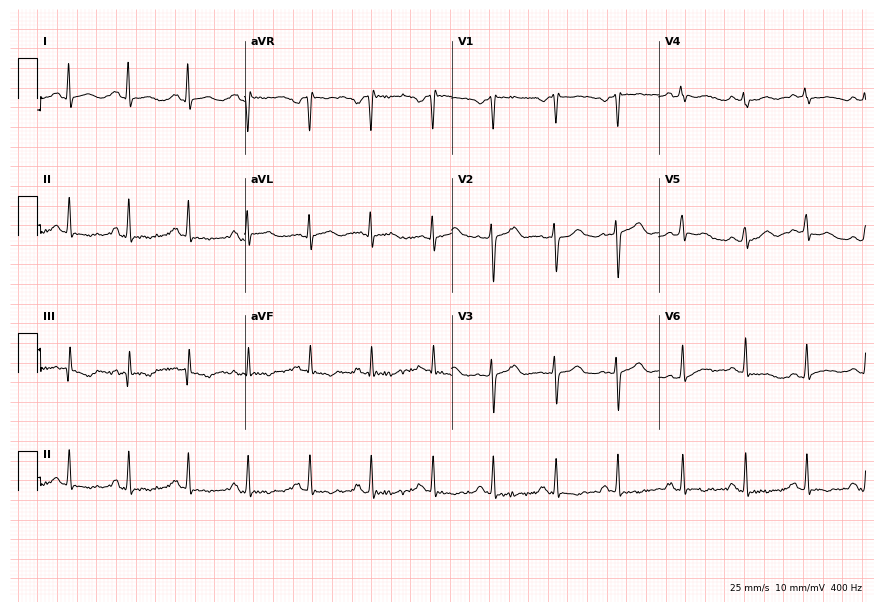
Resting 12-lead electrocardiogram (8.4-second recording at 400 Hz). Patient: a 37-year-old female. None of these six findings is recorded: first-degree AV block, right bundle branch block, left bundle branch block, sinus bradycardia, atrial fibrillation, sinus tachycardia.